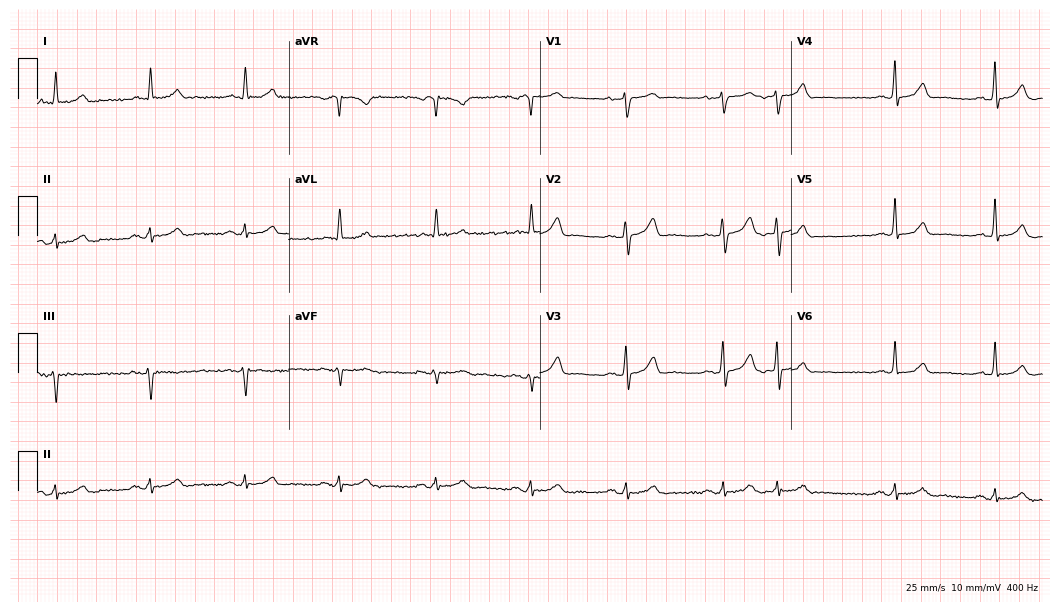
Electrocardiogram (10.2-second recording at 400 Hz), a man, 79 years old. Of the six screened findings (first-degree AV block, right bundle branch block (RBBB), left bundle branch block (LBBB), sinus bradycardia, atrial fibrillation (AF), sinus tachycardia), none is recorded.